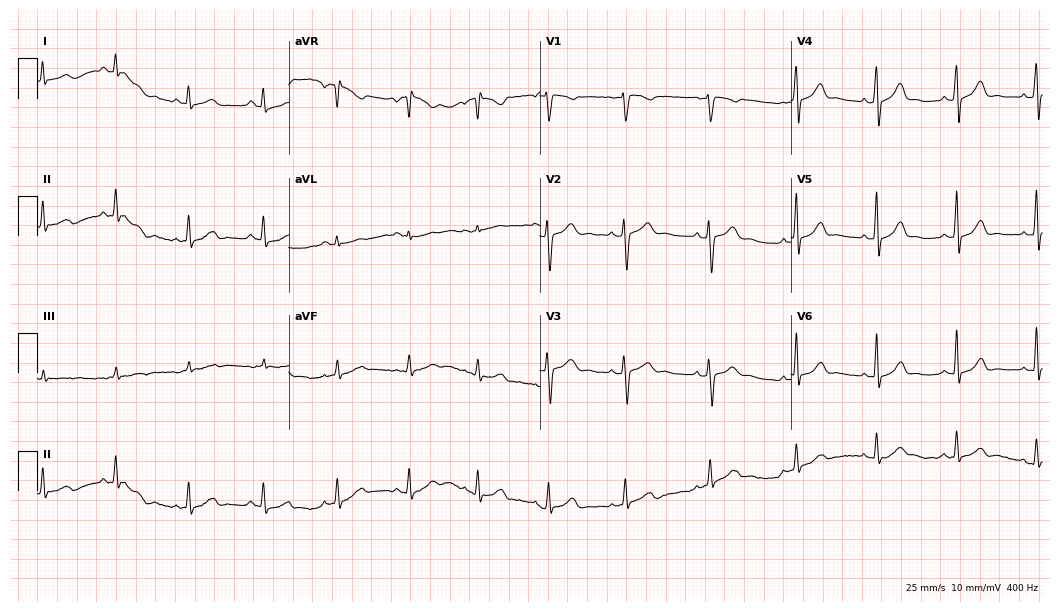
Standard 12-lead ECG recorded from a woman, 24 years old (10.2-second recording at 400 Hz). Read as a normal ECG.